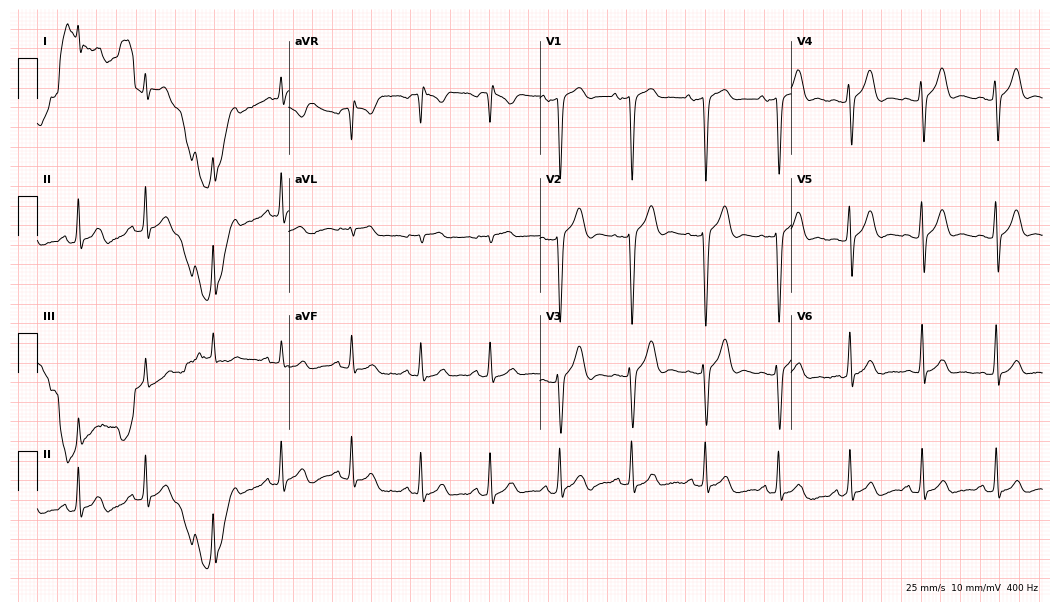
ECG (10.2-second recording at 400 Hz) — a 30-year-old man. Labelled as a normal ECG.